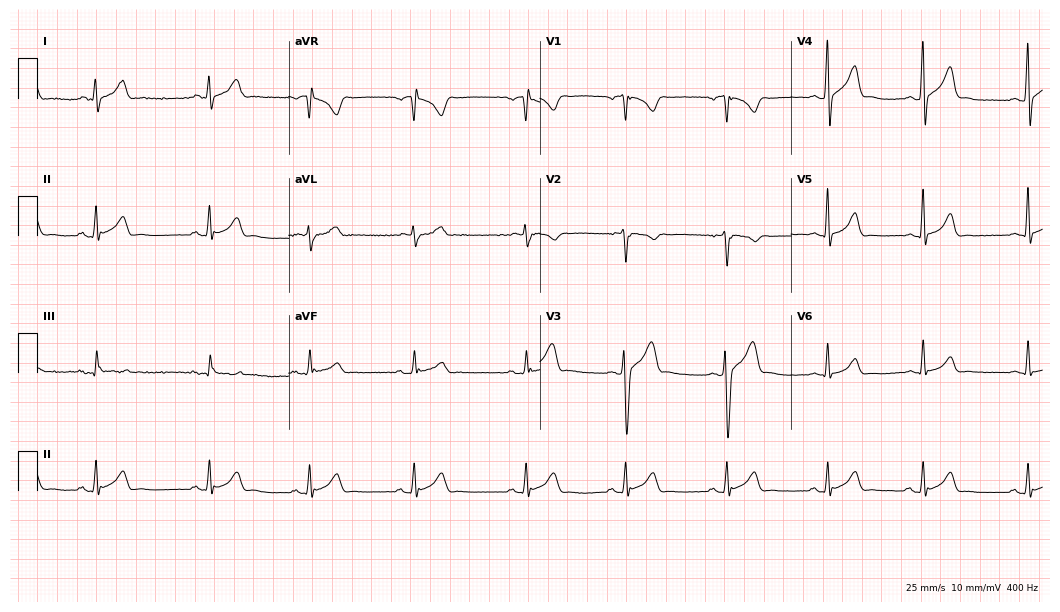
Resting 12-lead electrocardiogram. Patient: a male, 22 years old. Read as a normal ECG.